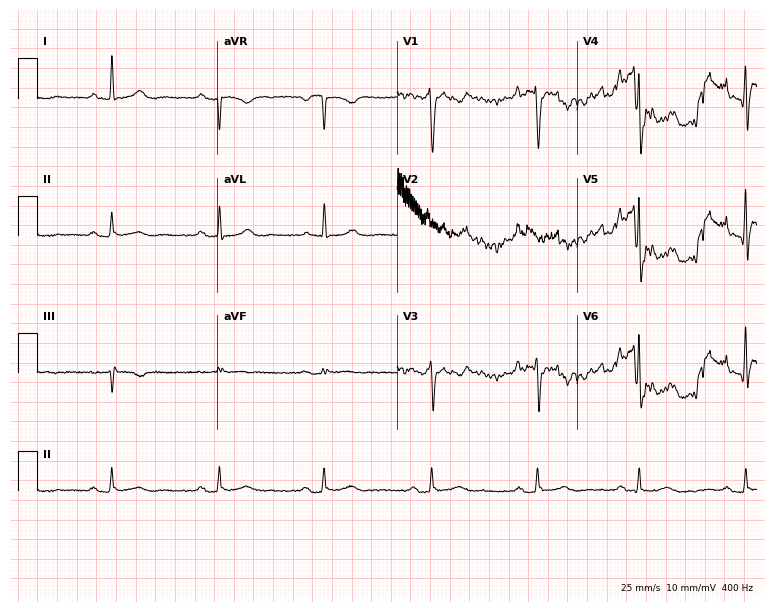
12-lead ECG (7.3-second recording at 400 Hz) from a 58-year-old woman. Screened for six findings — first-degree AV block, right bundle branch block (RBBB), left bundle branch block (LBBB), sinus bradycardia, atrial fibrillation (AF), sinus tachycardia — none is recorded.